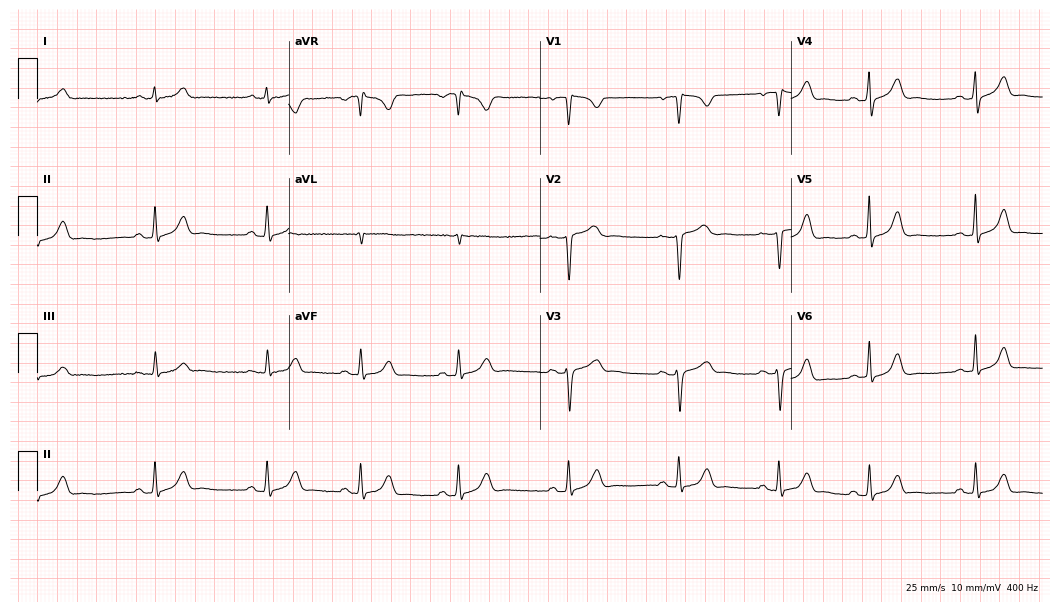
Resting 12-lead electrocardiogram. Patient: a 34-year-old female. Read as a normal ECG.